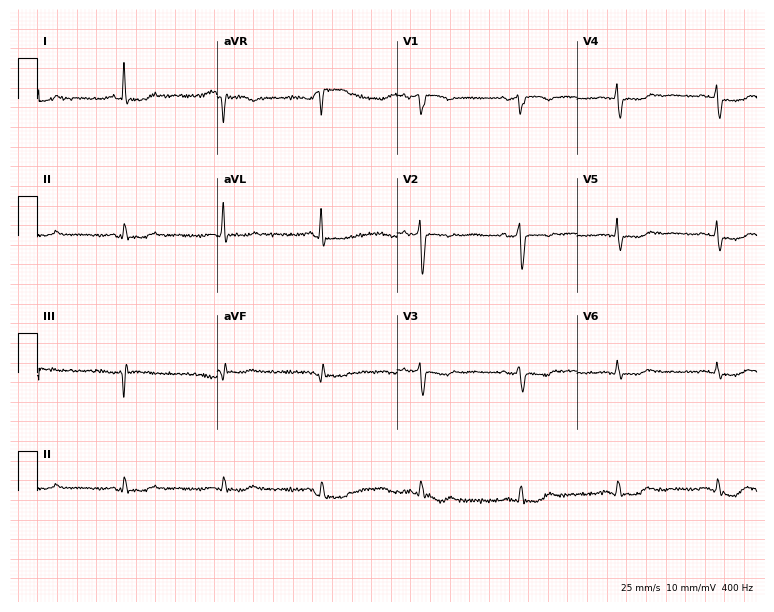
Electrocardiogram (7.3-second recording at 400 Hz), a woman, 82 years old. Of the six screened findings (first-degree AV block, right bundle branch block, left bundle branch block, sinus bradycardia, atrial fibrillation, sinus tachycardia), none is recorded.